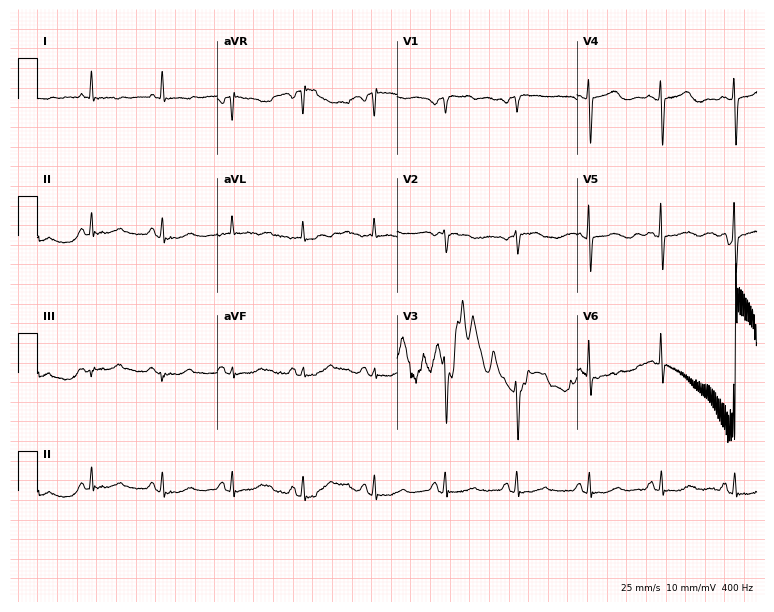
Electrocardiogram, a female, 71 years old. Of the six screened findings (first-degree AV block, right bundle branch block (RBBB), left bundle branch block (LBBB), sinus bradycardia, atrial fibrillation (AF), sinus tachycardia), none is recorded.